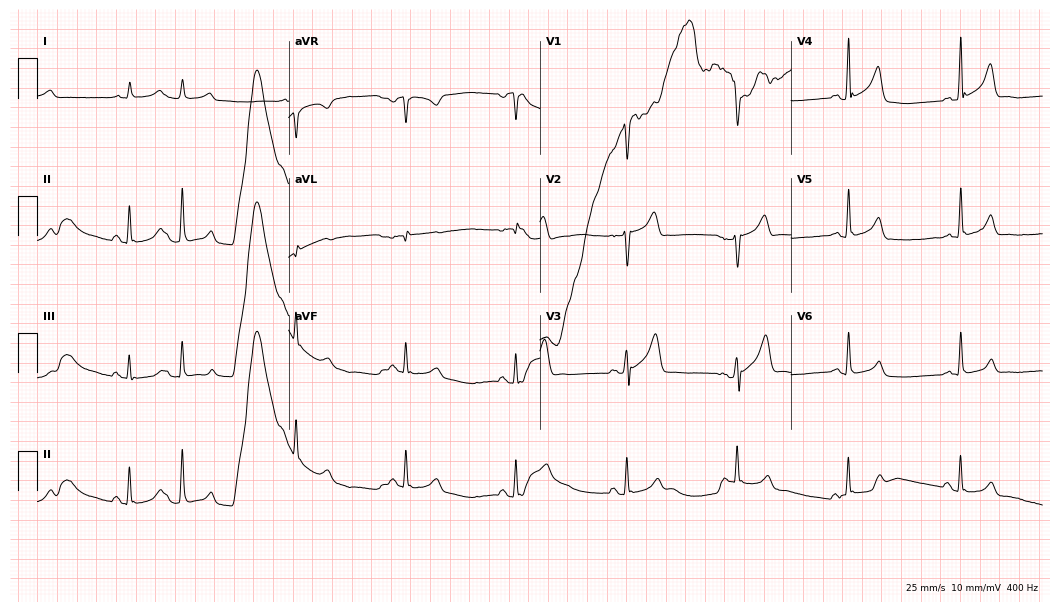
Electrocardiogram, a 55-year-old man. Of the six screened findings (first-degree AV block, right bundle branch block (RBBB), left bundle branch block (LBBB), sinus bradycardia, atrial fibrillation (AF), sinus tachycardia), none is recorded. Other findings, if any, are not listed.